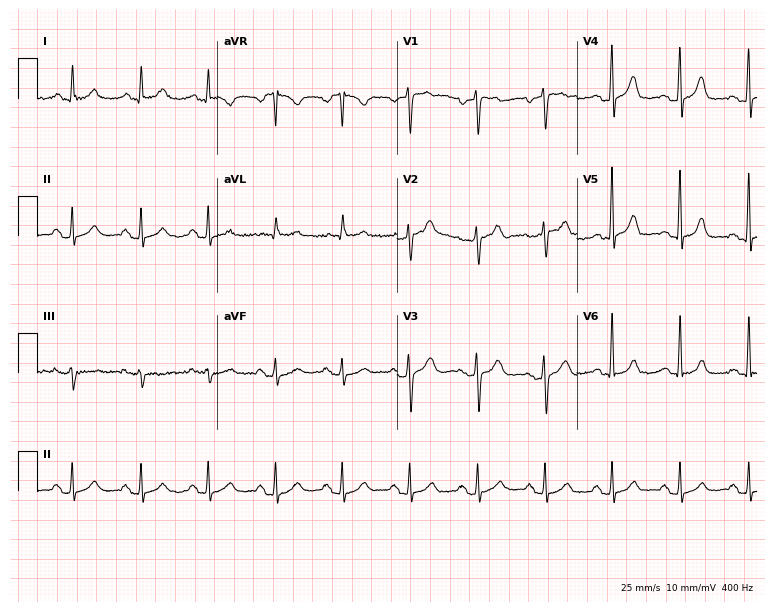
12-lead ECG from a 57-year-old woman (7.3-second recording at 400 Hz). Recorded interpretation: within normal limits.